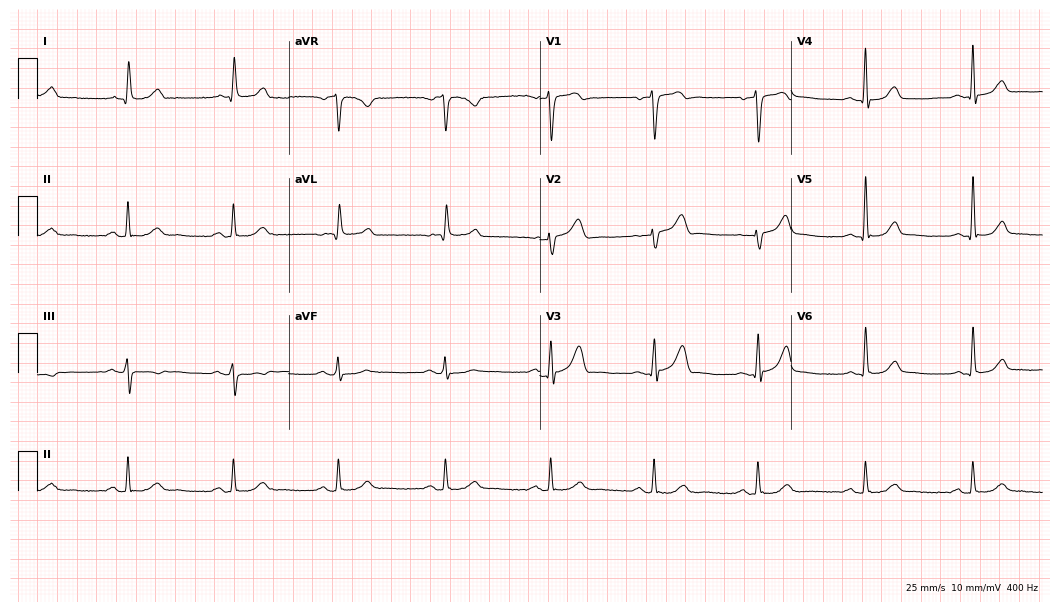
ECG (10.2-second recording at 400 Hz) — a 68-year-old male. Labelled as a normal ECG.